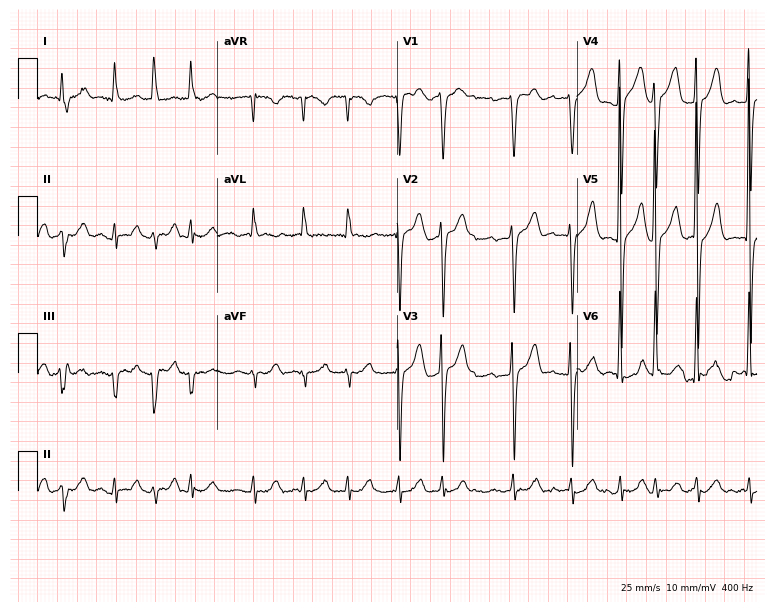
12-lead ECG (7.3-second recording at 400 Hz) from a 75-year-old male patient. Findings include atrial fibrillation.